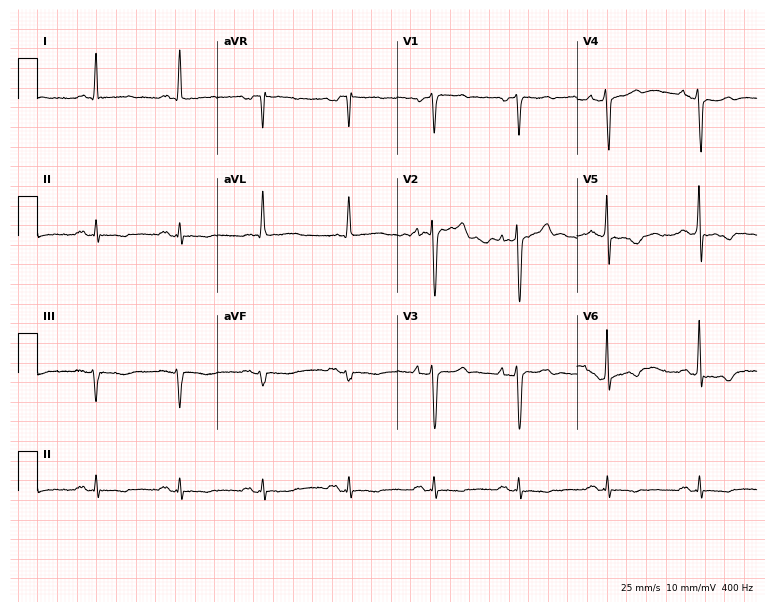
Resting 12-lead electrocardiogram (7.3-second recording at 400 Hz). Patient: a male, 56 years old. None of these six findings is recorded: first-degree AV block, right bundle branch block, left bundle branch block, sinus bradycardia, atrial fibrillation, sinus tachycardia.